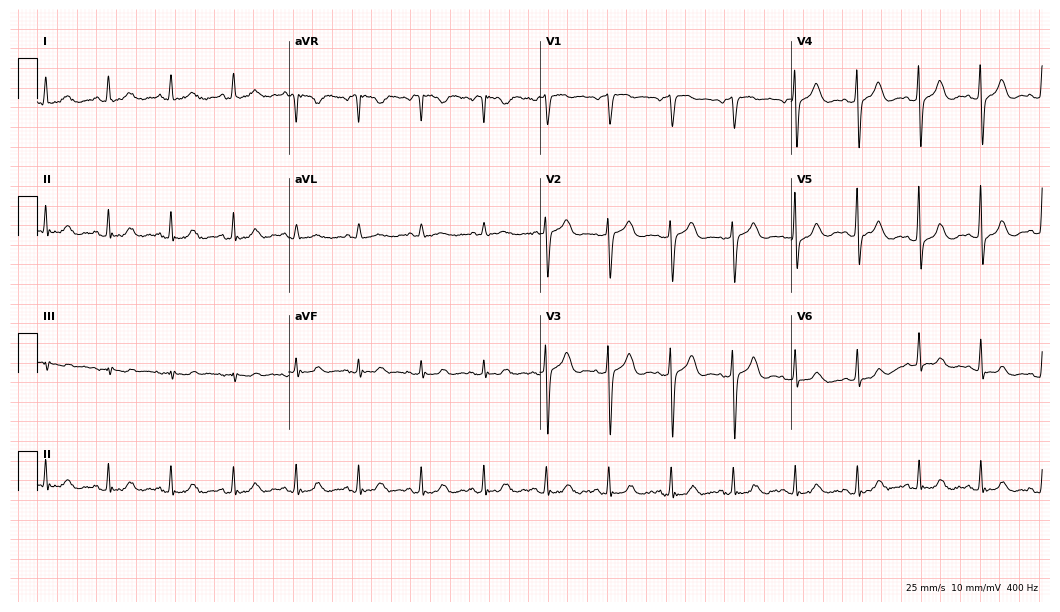
ECG — a woman, 72 years old. Labelled as a normal ECG.